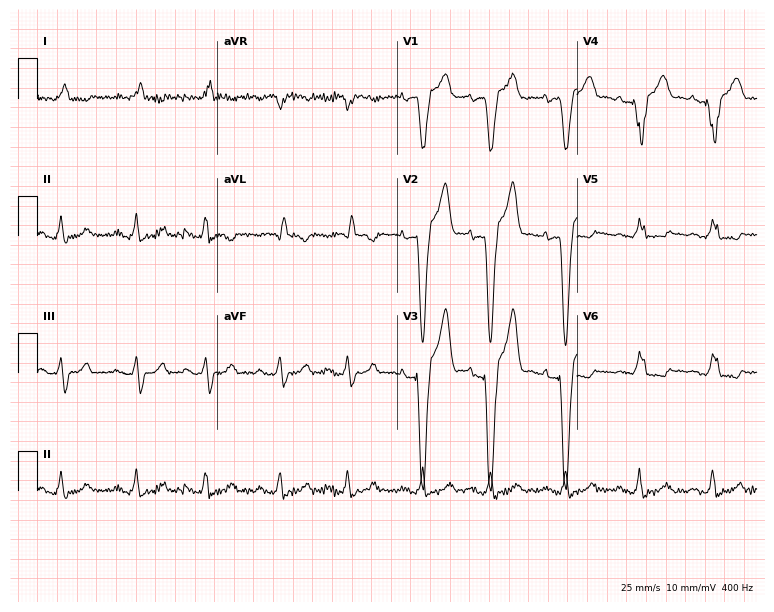
12-lead ECG from a male patient, 75 years old. Findings include left bundle branch block.